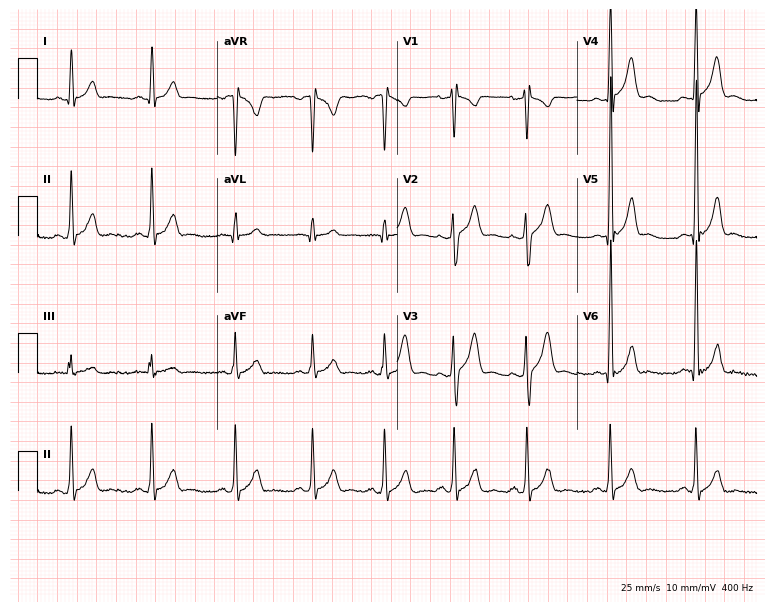
Standard 12-lead ECG recorded from a male patient, 24 years old. None of these six findings is recorded: first-degree AV block, right bundle branch block, left bundle branch block, sinus bradycardia, atrial fibrillation, sinus tachycardia. Only these six findings were labelled.